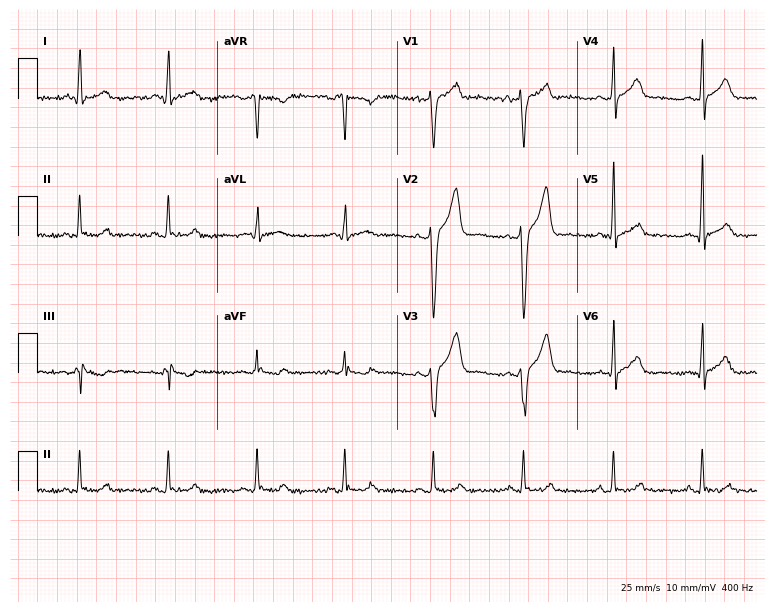
ECG — a 56-year-old male. Screened for six findings — first-degree AV block, right bundle branch block, left bundle branch block, sinus bradycardia, atrial fibrillation, sinus tachycardia — none is recorded. Findings outside these six are not listed.